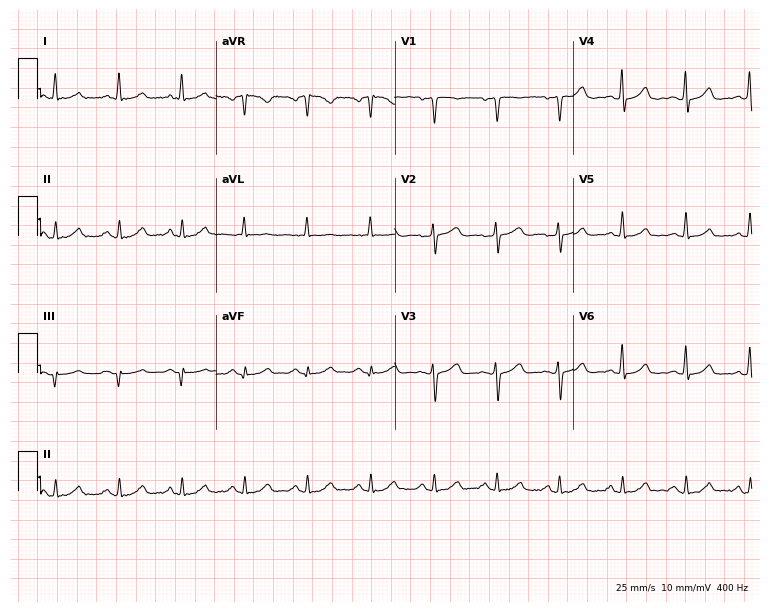
12-lead ECG (7.3-second recording at 400 Hz) from a 19-year-old female. Labelled as a normal ECG.